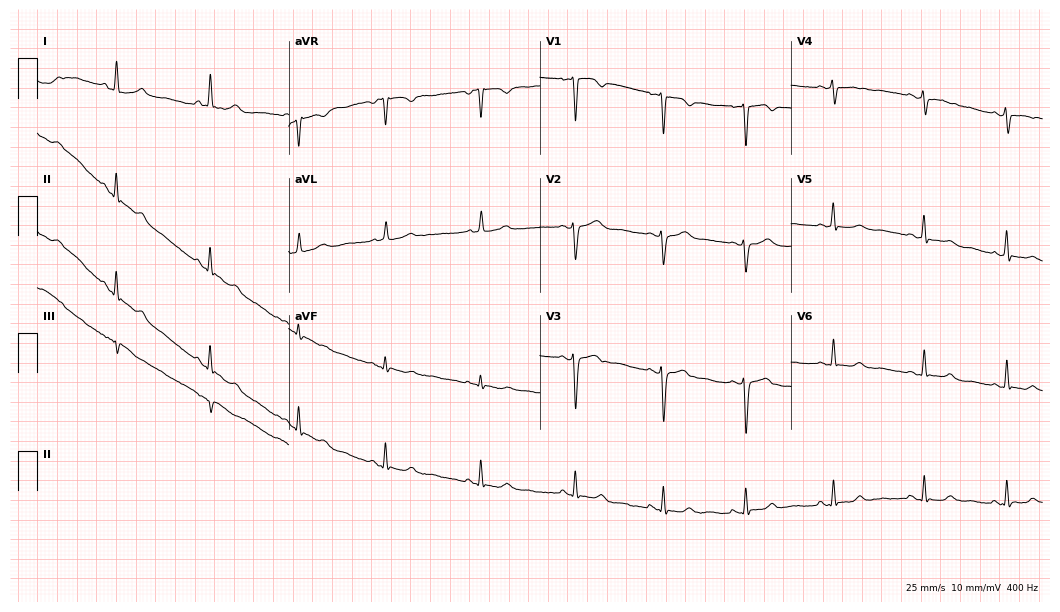
Standard 12-lead ECG recorded from a female, 34 years old. None of these six findings is recorded: first-degree AV block, right bundle branch block, left bundle branch block, sinus bradycardia, atrial fibrillation, sinus tachycardia.